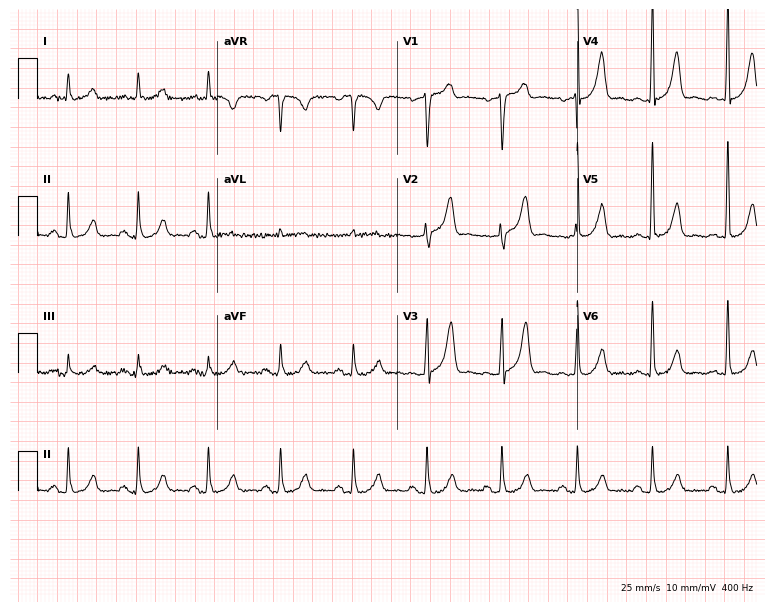
12-lead ECG from a 61-year-old male. No first-degree AV block, right bundle branch block (RBBB), left bundle branch block (LBBB), sinus bradycardia, atrial fibrillation (AF) or sinus tachycardia recorded for this tracing.